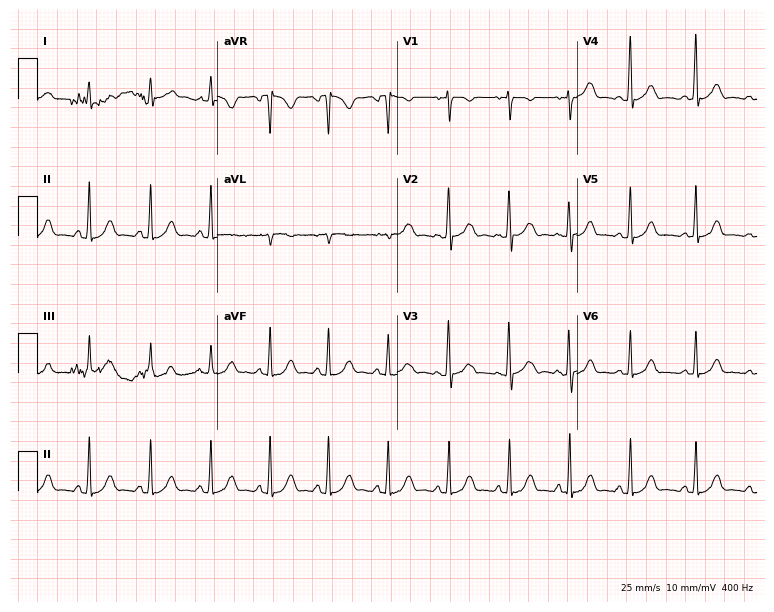
Electrocardiogram, a 26-year-old female patient. Overall reading on record: normal ECG.